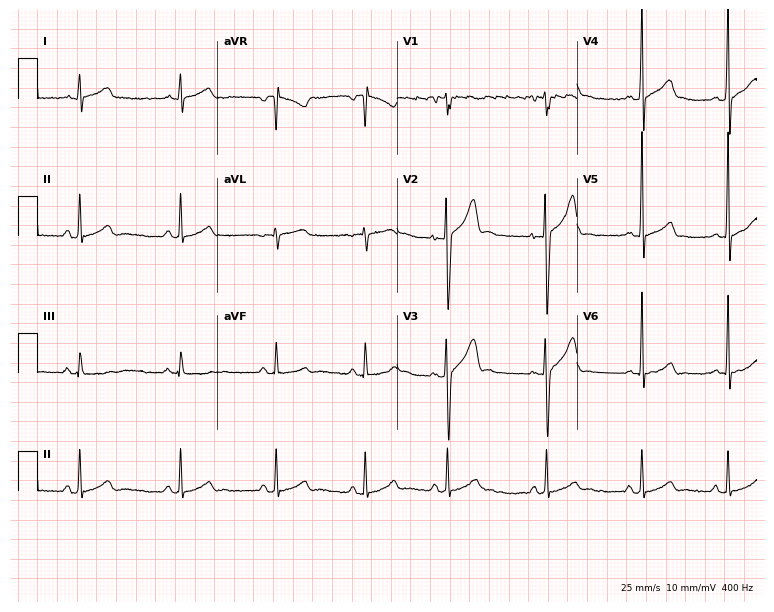
12-lead ECG from a male patient, 22 years old (7.3-second recording at 400 Hz). Recorded interpretation: within normal limits.